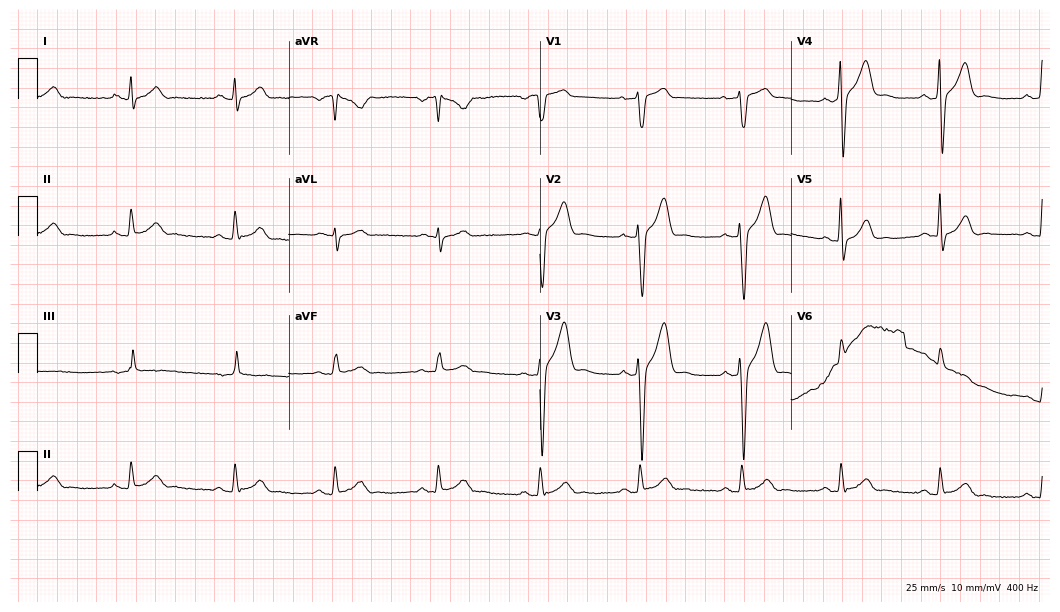
Standard 12-lead ECG recorded from a 49-year-old male patient (10.2-second recording at 400 Hz). None of these six findings is recorded: first-degree AV block, right bundle branch block, left bundle branch block, sinus bradycardia, atrial fibrillation, sinus tachycardia. Findings outside these six are not listed.